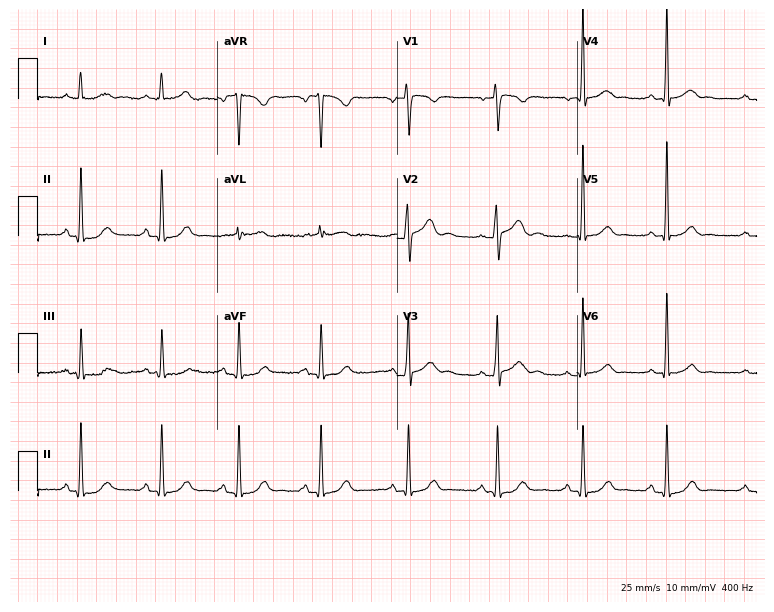
12-lead ECG from a 28-year-old man (7.3-second recording at 400 Hz). Recorded interpretation: within normal limits.